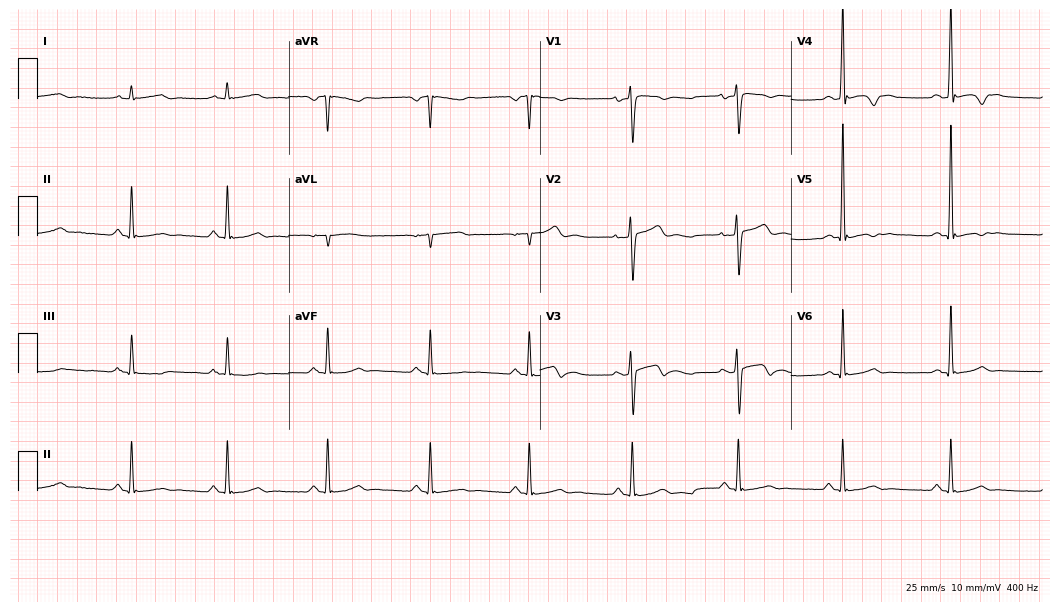
12-lead ECG from a man, 31 years old. Screened for six findings — first-degree AV block, right bundle branch block (RBBB), left bundle branch block (LBBB), sinus bradycardia, atrial fibrillation (AF), sinus tachycardia — none is recorded. Only these six findings were labelled.